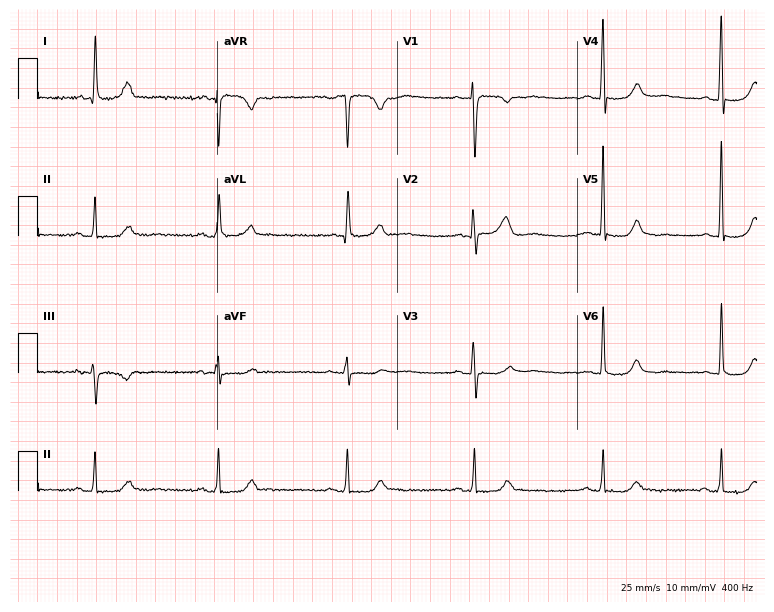
Electrocardiogram, a 69-year-old woman. Interpretation includes sinus bradycardia (a sinus rate of 50 beats per minute or less).